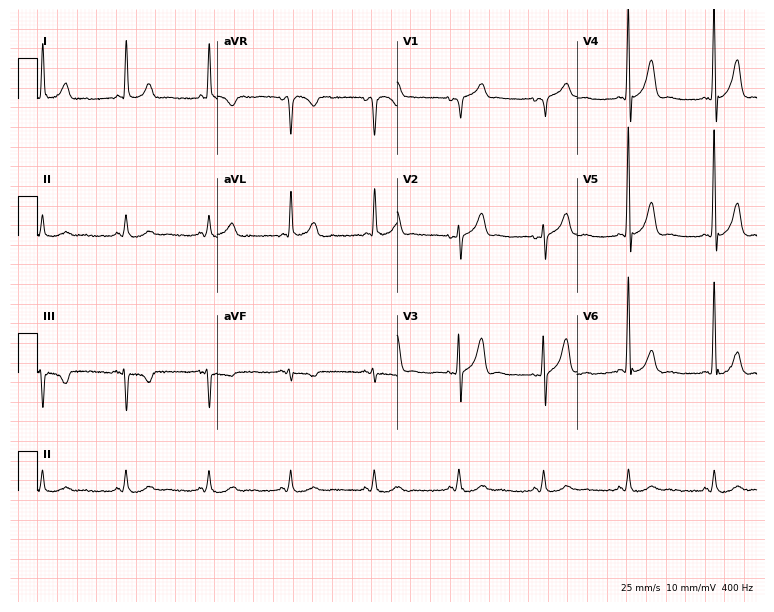
Electrocardiogram (7.3-second recording at 400 Hz), a male, 61 years old. Of the six screened findings (first-degree AV block, right bundle branch block (RBBB), left bundle branch block (LBBB), sinus bradycardia, atrial fibrillation (AF), sinus tachycardia), none is recorded.